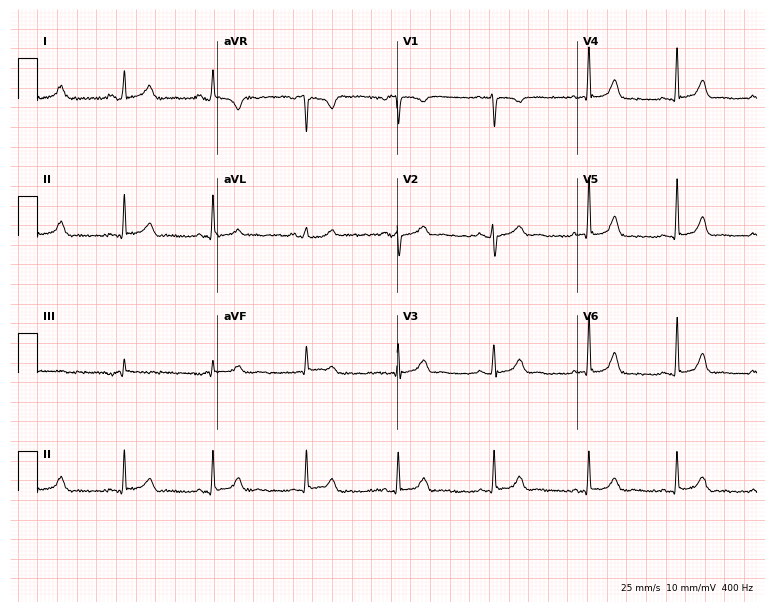
12-lead ECG (7.3-second recording at 400 Hz) from a 39-year-old woman. Labelled as a normal ECG.